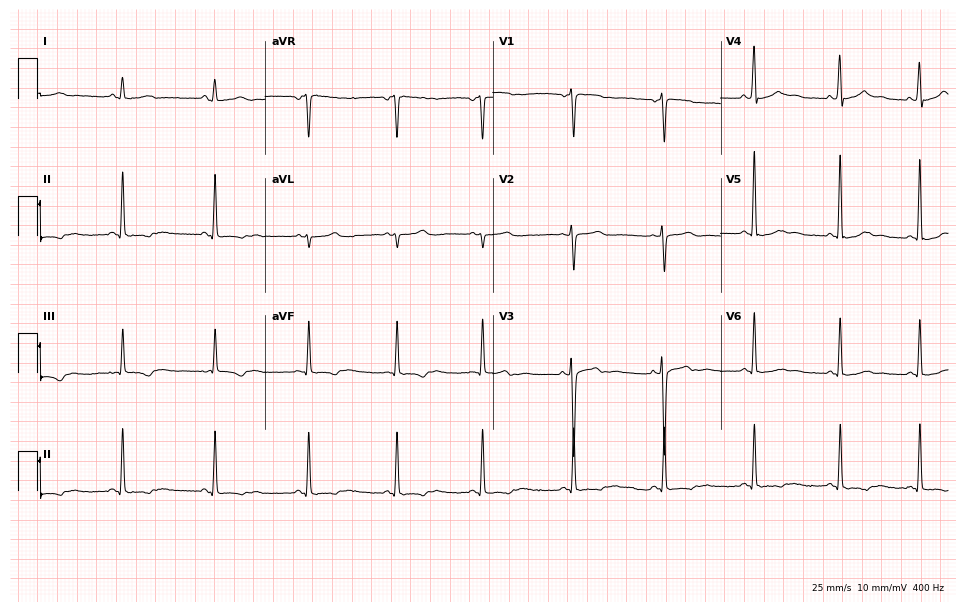
ECG — an 18-year-old woman. Screened for six findings — first-degree AV block, right bundle branch block (RBBB), left bundle branch block (LBBB), sinus bradycardia, atrial fibrillation (AF), sinus tachycardia — none is recorded. Only these six findings were labelled.